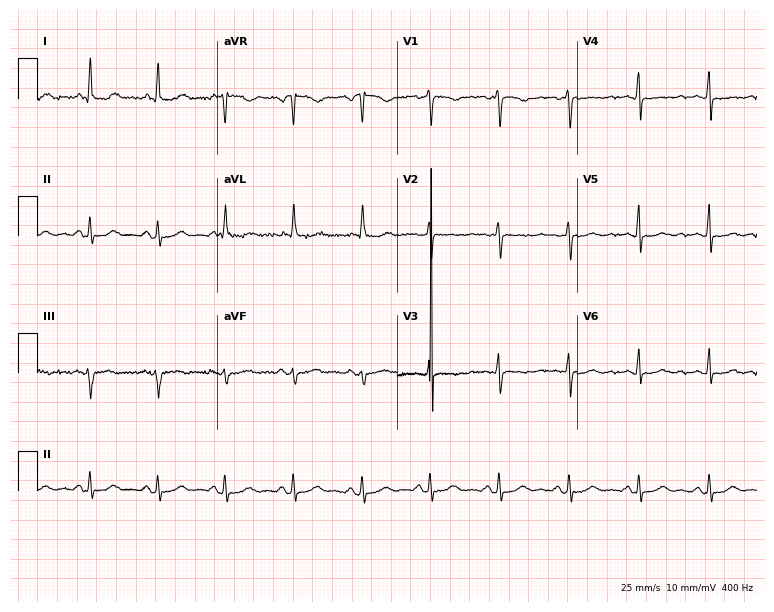
12-lead ECG from a 70-year-old woman (7.3-second recording at 400 Hz). No first-degree AV block, right bundle branch block (RBBB), left bundle branch block (LBBB), sinus bradycardia, atrial fibrillation (AF) or sinus tachycardia recorded for this tracing. Other findings, if any, are not listed.